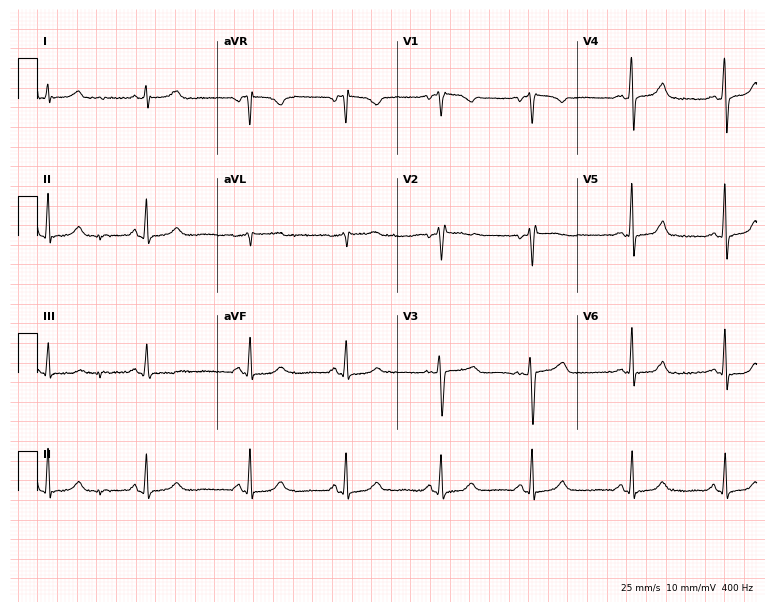
ECG (7.3-second recording at 400 Hz) — a 47-year-old male patient. Screened for six findings — first-degree AV block, right bundle branch block, left bundle branch block, sinus bradycardia, atrial fibrillation, sinus tachycardia — none is recorded. Findings outside these six are not listed.